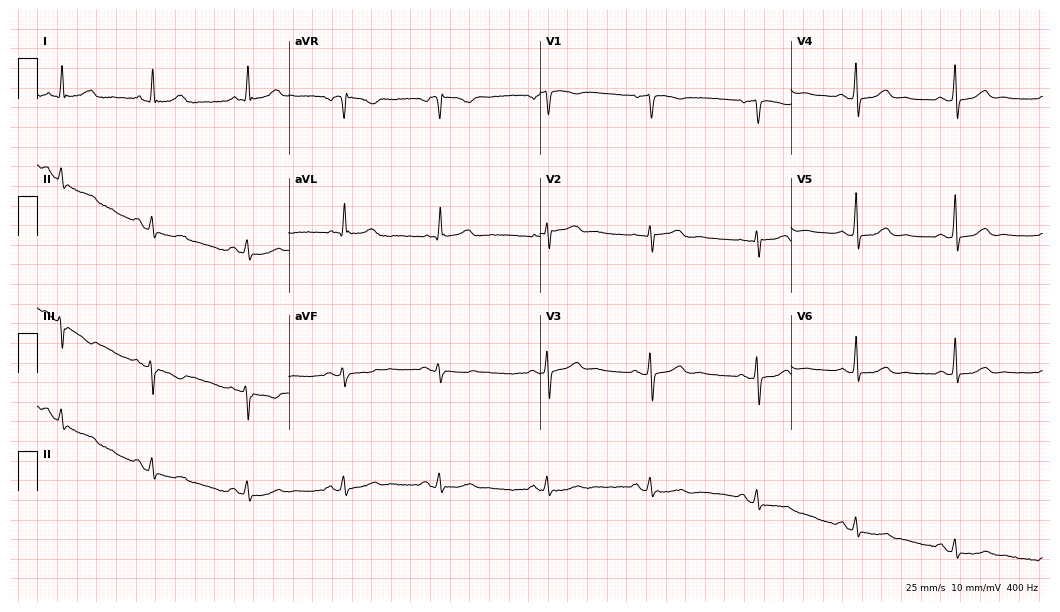
12-lead ECG from a woman, 55 years old. Screened for six findings — first-degree AV block, right bundle branch block, left bundle branch block, sinus bradycardia, atrial fibrillation, sinus tachycardia — none is recorded.